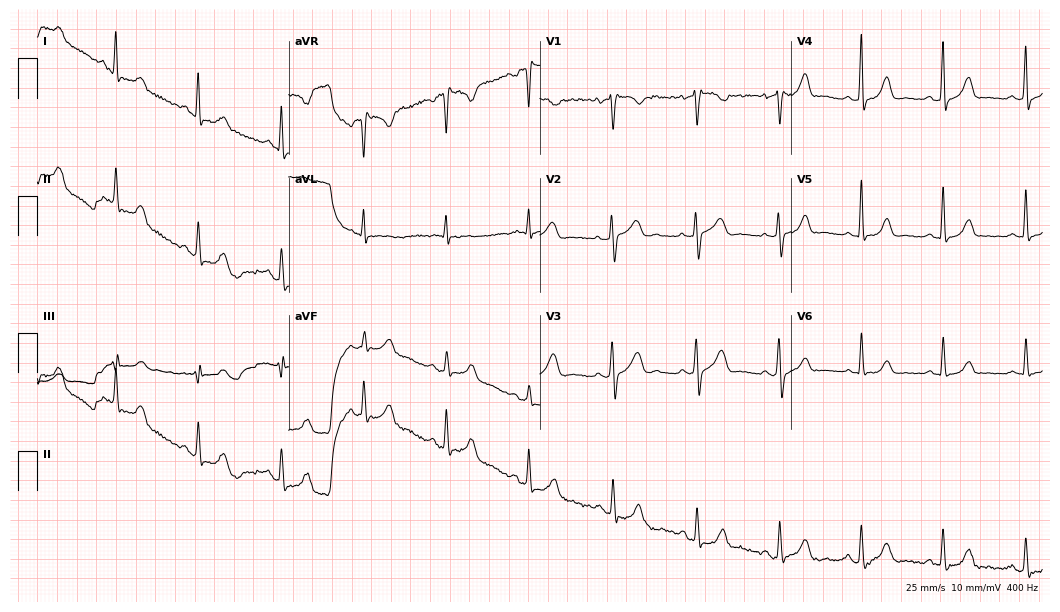
Resting 12-lead electrocardiogram (10.2-second recording at 400 Hz). Patient: a 55-year-old female. Read as a normal ECG.